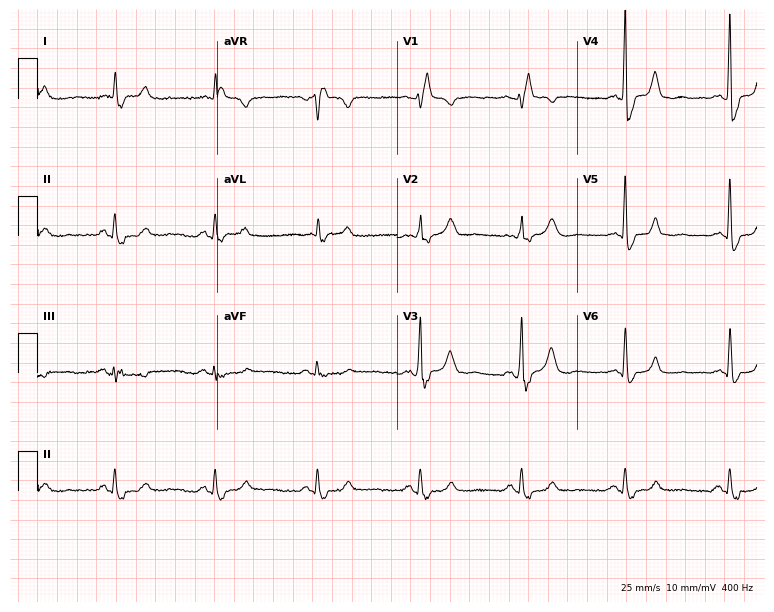
Electrocardiogram (7.3-second recording at 400 Hz), a male patient, 82 years old. Interpretation includes right bundle branch block.